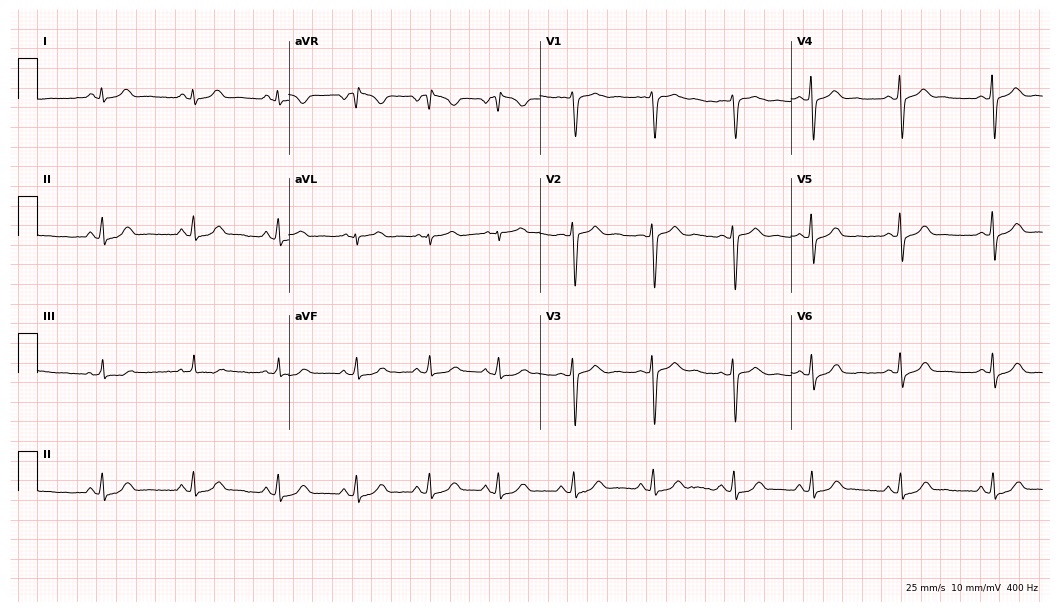
ECG (10.2-second recording at 400 Hz) — a 17-year-old woman. Labelled as a normal ECG.